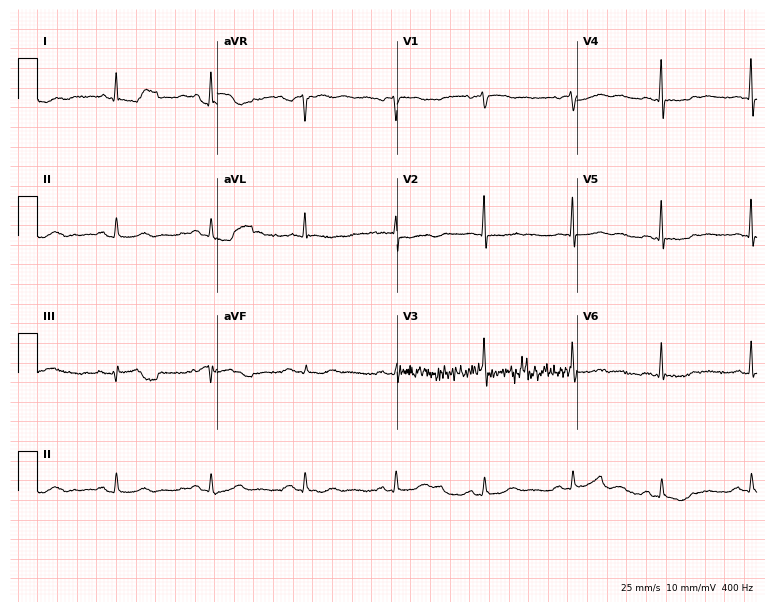
Standard 12-lead ECG recorded from a female, 78 years old (7.3-second recording at 400 Hz). None of these six findings is recorded: first-degree AV block, right bundle branch block (RBBB), left bundle branch block (LBBB), sinus bradycardia, atrial fibrillation (AF), sinus tachycardia. Only these six findings were labelled.